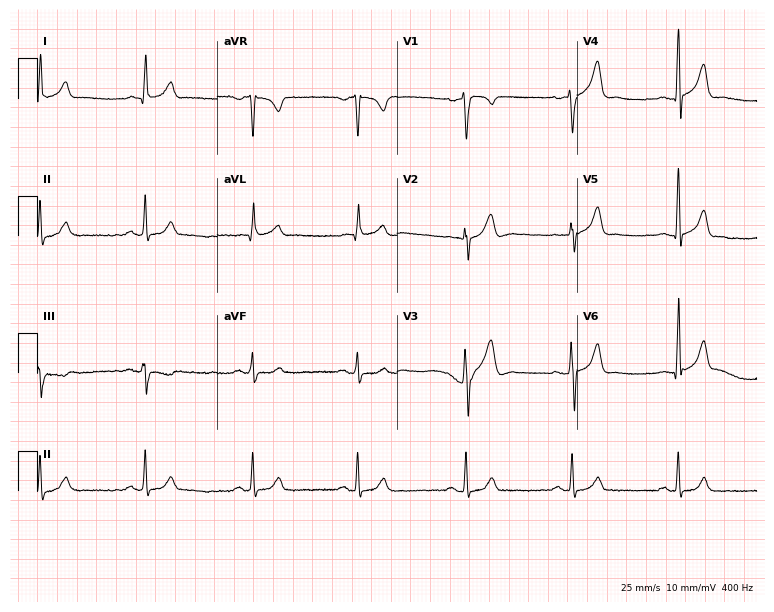
Resting 12-lead electrocardiogram. Patient: a man, 36 years old. Read as a normal ECG.